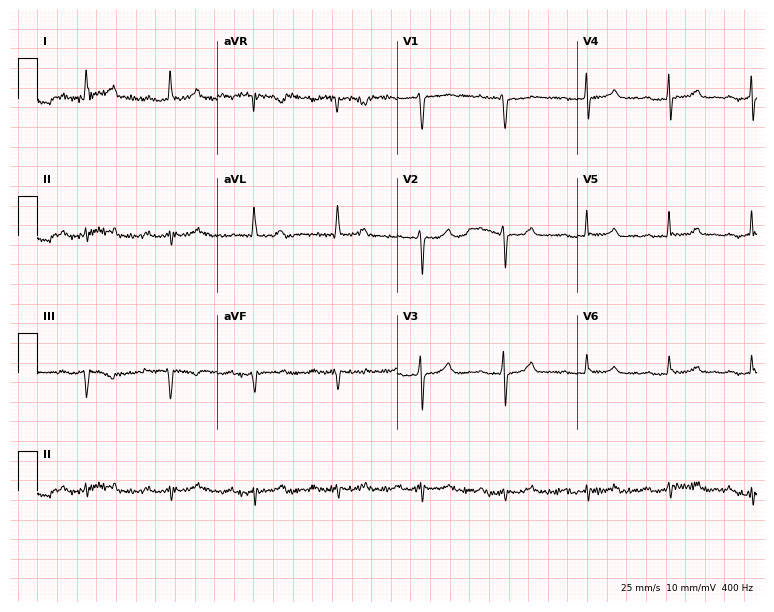
Standard 12-lead ECG recorded from an 81-year-old female. The tracing shows first-degree AV block.